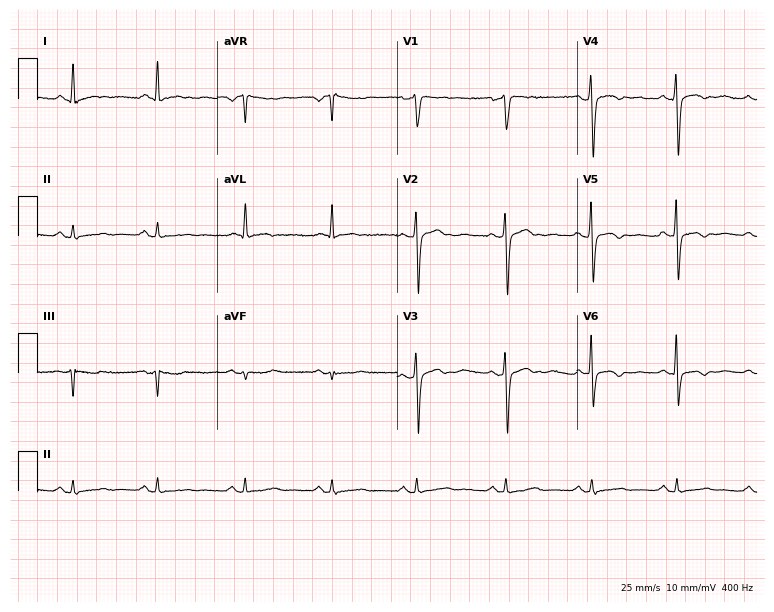
12-lead ECG (7.3-second recording at 400 Hz) from a female patient, 56 years old. Screened for six findings — first-degree AV block, right bundle branch block, left bundle branch block, sinus bradycardia, atrial fibrillation, sinus tachycardia — none is recorded. Other findings, if any, are not listed.